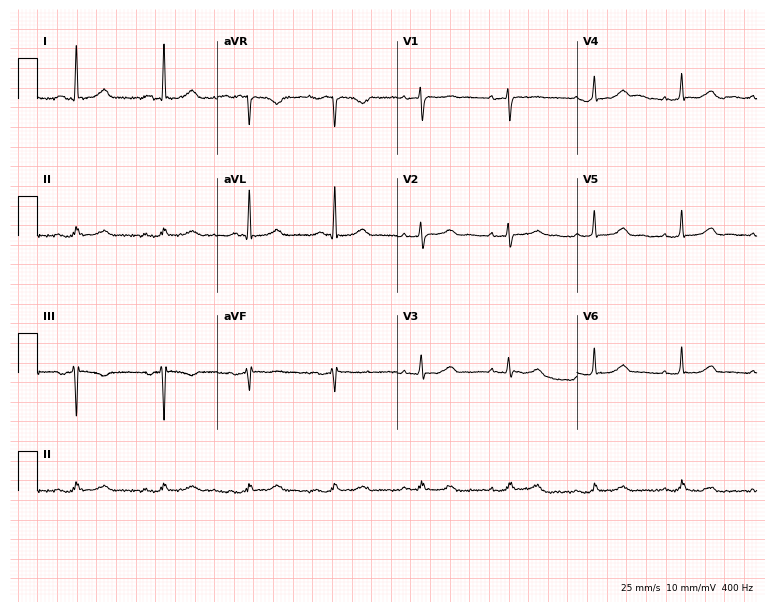
ECG (7.3-second recording at 400 Hz) — a female patient, 71 years old. Screened for six findings — first-degree AV block, right bundle branch block, left bundle branch block, sinus bradycardia, atrial fibrillation, sinus tachycardia — none is recorded. Findings outside these six are not listed.